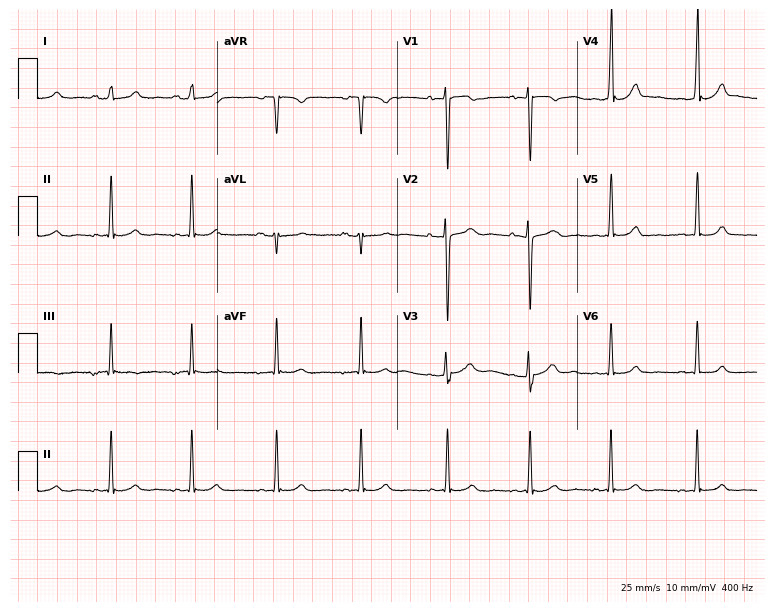
12-lead ECG from a woman, 19 years old (7.3-second recording at 400 Hz). No first-degree AV block, right bundle branch block, left bundle branch block, sinus bradycardia, atrial fibrillation or sinus tachycardia recorded for this tracing. Findings outside these six are not listed.